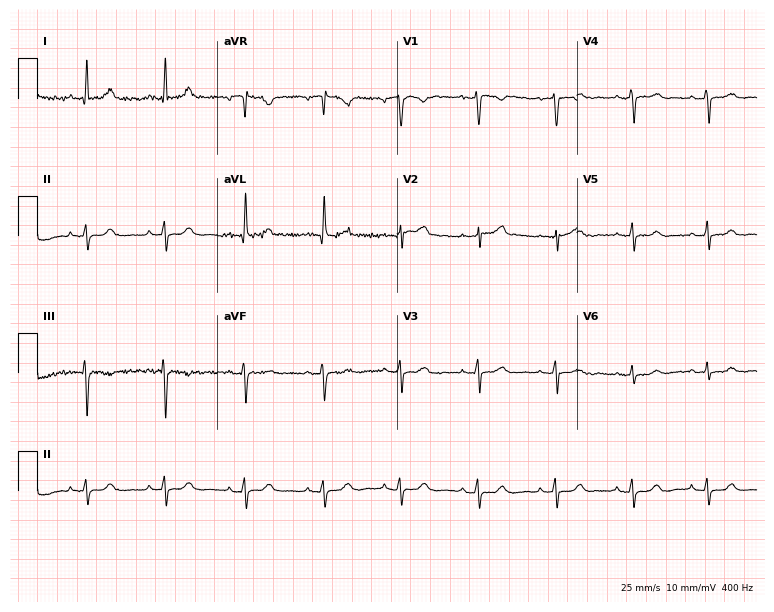
Electrocardiogram (7.3-second recording at 400 Hz), a female patient, 49 years old. Of the six screened findings (first-degree AV block, right bundle branch block, left bundle branch block, sinus bradycardia, atrial fibrillation, sinus tachycardia), none is recorded.